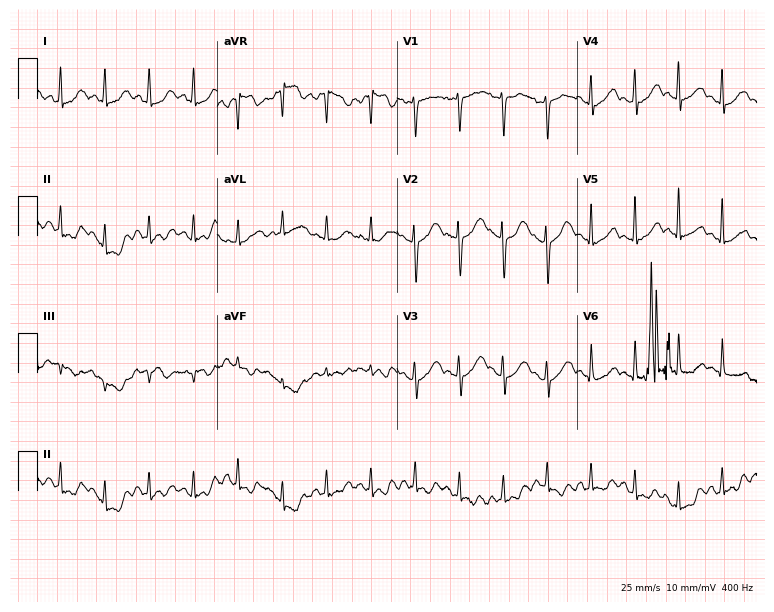
12-lead ECG from a woman, 42 years old. Findings include sinus tachycardia (a sinus rate of 100 beats per minute or more).